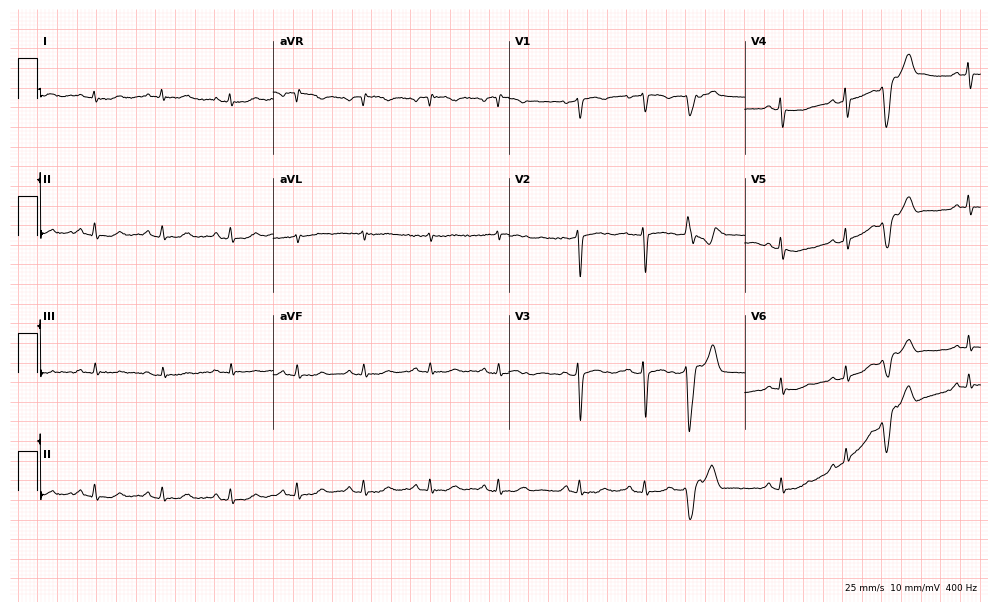
Standard 12-lead ECG recorded from a 43-year-old female. None of these six findings is recorded: first-degree AV block, right bundle branch block, left bundle branch block, sinus bradycardia, atrial fibrillation, sinus tachycardia. Only these six findings were labelled.